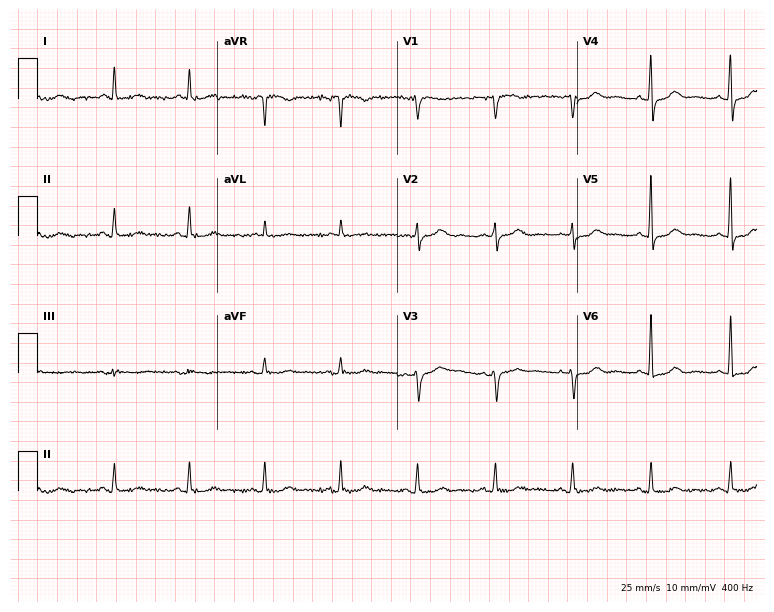
12-lead ECG from a female patient, 66 years old (7.3-second recording at 400 Hz). Recorded interpretation: within normal limits.